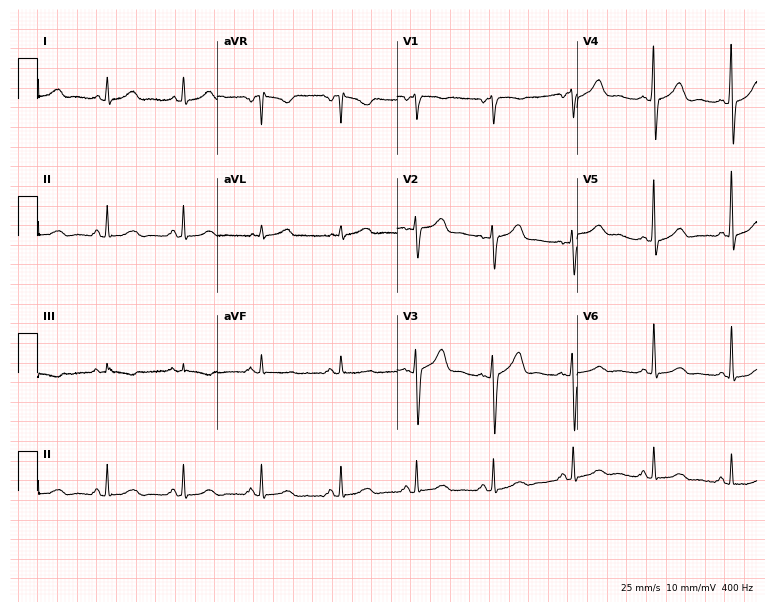
Resting 12-lead electrocardiogram. Patient: a 42-year-old female. Read as a normal ECG.